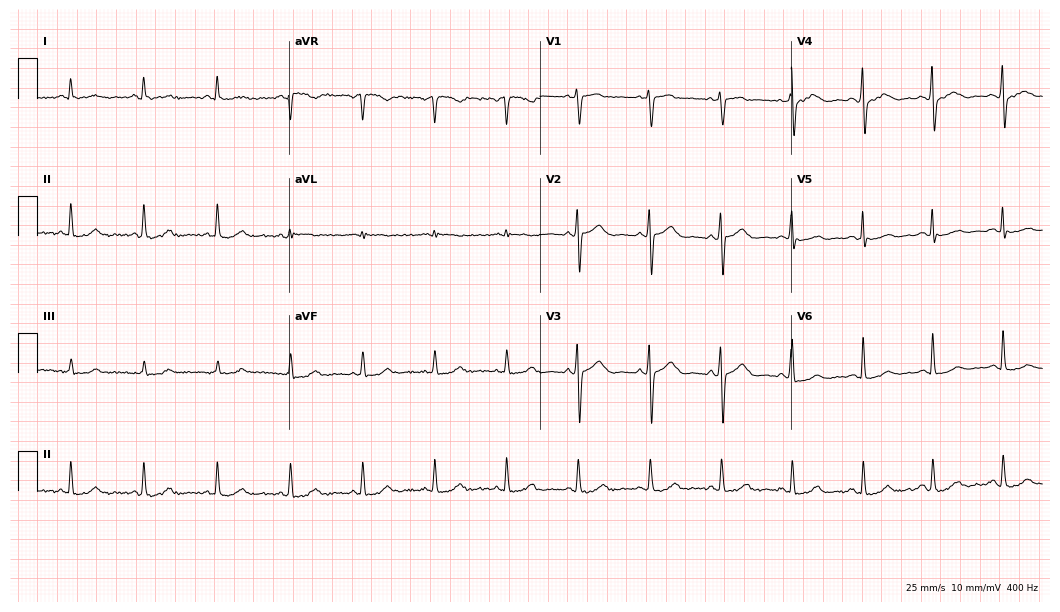
12-lead ECG (10.2-second recording at 400 Hz) from a 65-year-old female patient. Screened for six findings — first-degree AV block, right bundle branch block, left bundle branch block, sinus bradycardia, atrial fibrillation, sinus tachycardia — none is recorded.